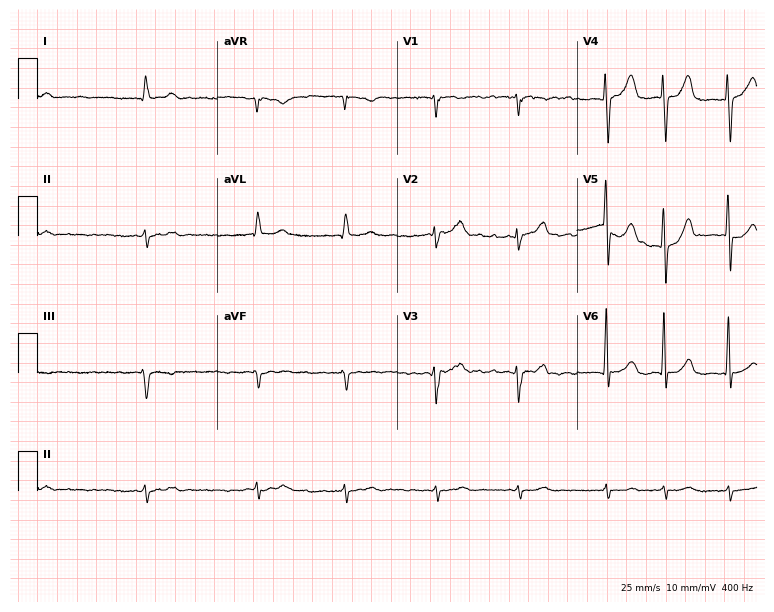
Electrocardiogram (7.3-second recording at 400 Hz), an 82-year-old male patient. Interpretation includes atrial fibrillation.